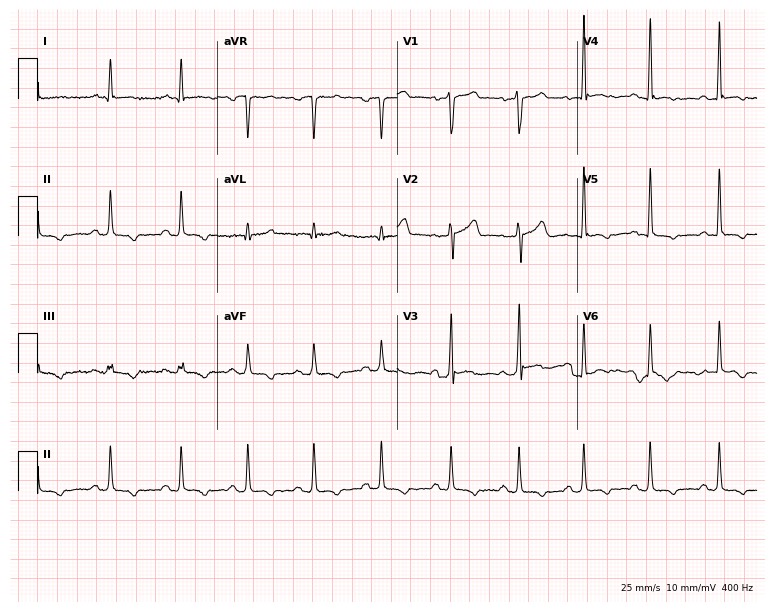
ECG (7.3-second recording at 400 Hz) — a male, 59 years old. Screened for six findings — first-degree AV block, right bundle branch block (RBBB), left bundle branch block (LBBB), sinus bradycardia, atrial fibrillation (AF), sinus tachycardia — none is recorded.